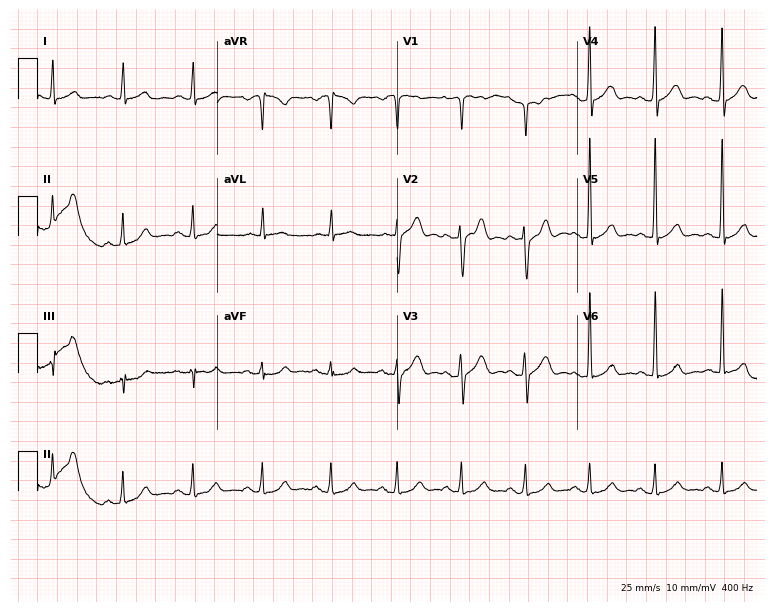
Resting 12-lead electrocardiogram. Patient: a male, 55 years old. None of these six findings is recorded: first-degree AV block, right bundle branch block, left bundle branch block, sinus bradycardia, atrial fibrillation, sinus tachycardia.